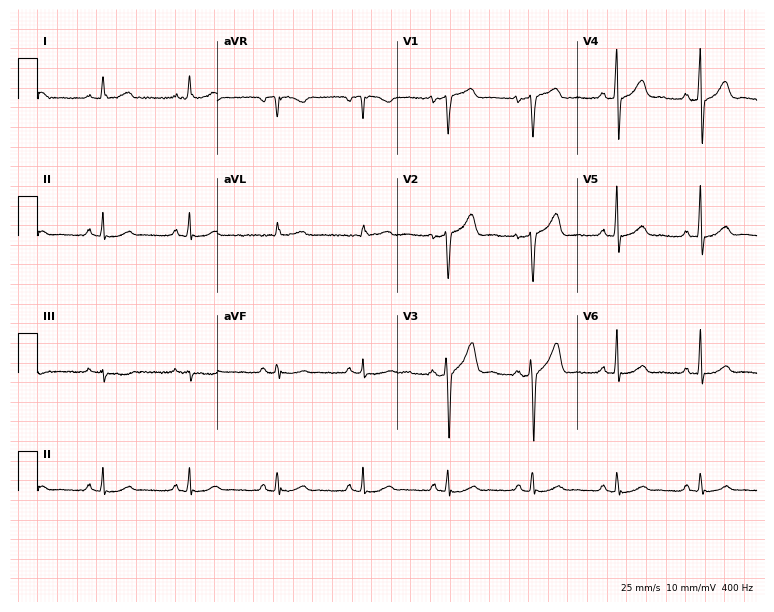
Electrocardiogram, a man, 49 years old. Of the six screened findings (first-degree AV block, right bundle branch block, left bundle branch block, sinus bradycardia, atrial fibrillation, sinus tachycardia), none is recorded. Other findings, if any, are not listed.